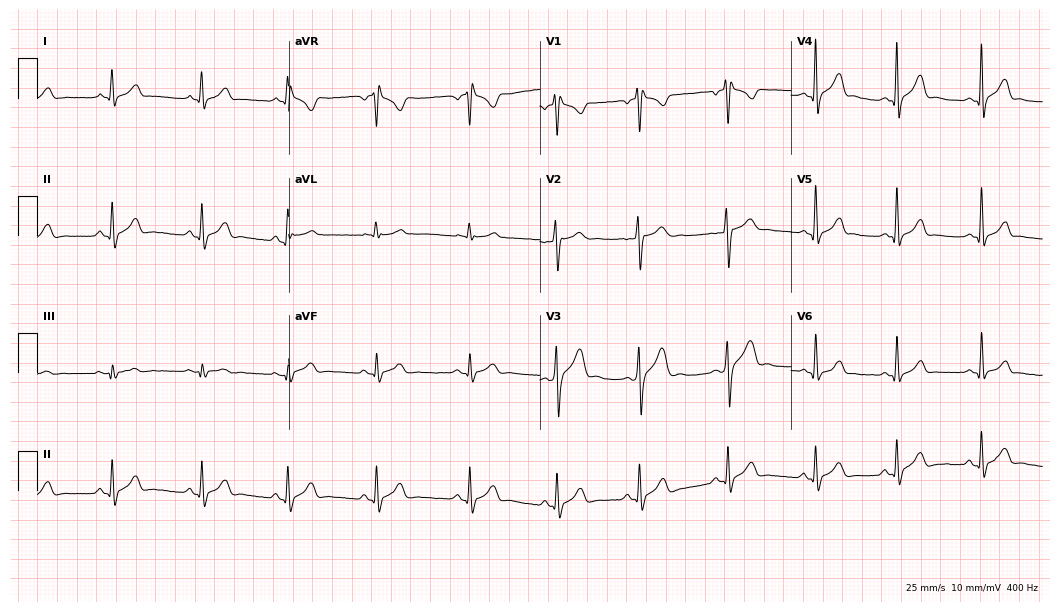
ECG (10.2-second recording at 400 Hz) — a 21-year-old male patient. Labelled as a normal ECG.